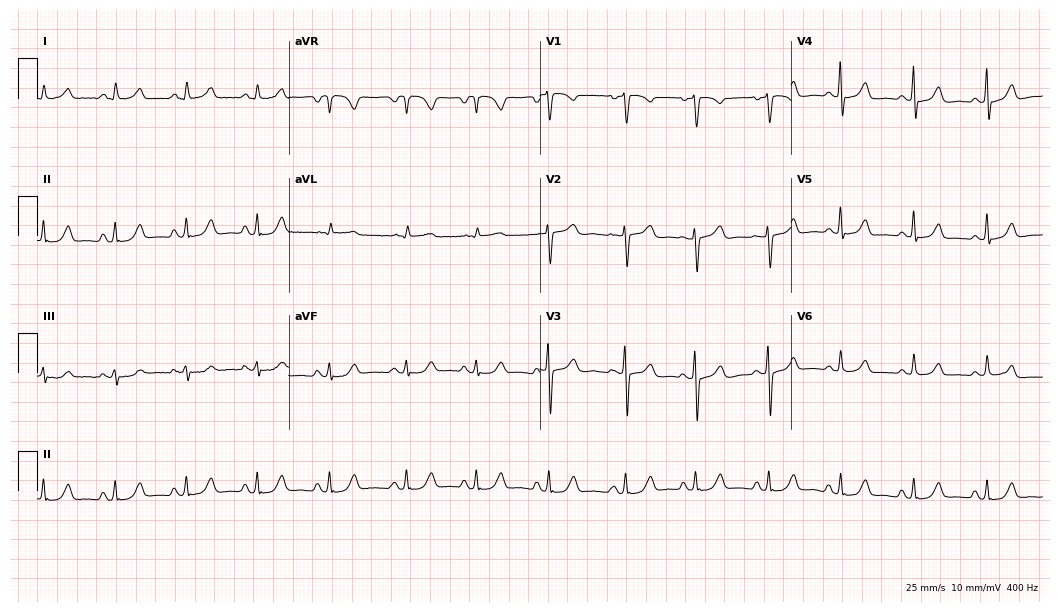
Electrocardiogram, a 43-year-old woman. Overall reading on record: normal ECG.